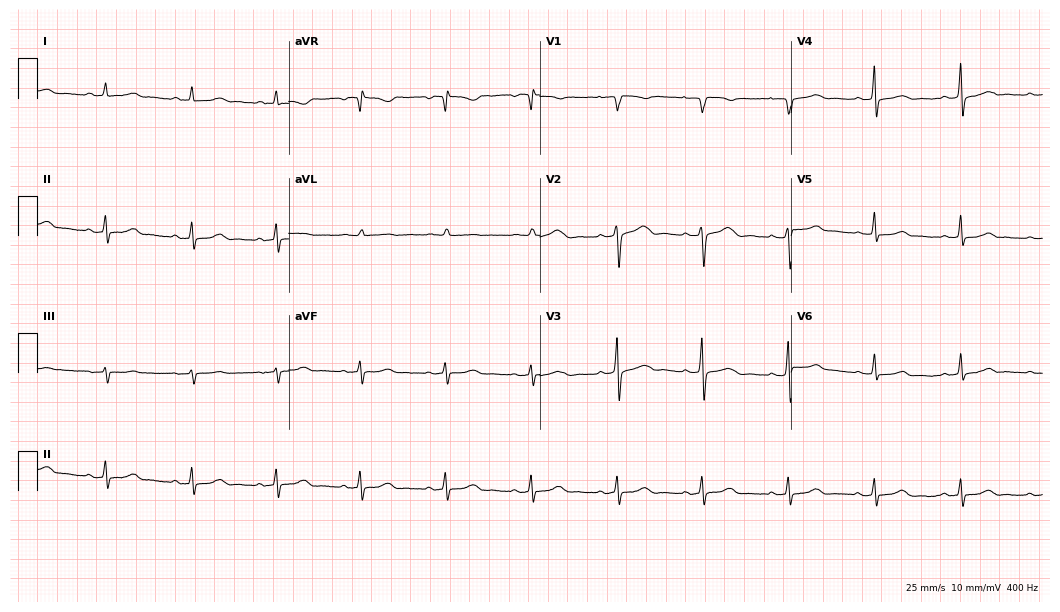
12-lead ECG from a 53-year-old woman (10.2-second recording at 400 Hz). No first-degree AV block, right bundle branch block (RBBB), left bundle branch block (LBBB), sinus bradycardia, atrial fibrillation (AF) or sinus tachycardia recorded for this tracing. Findings outside these six are not listed.